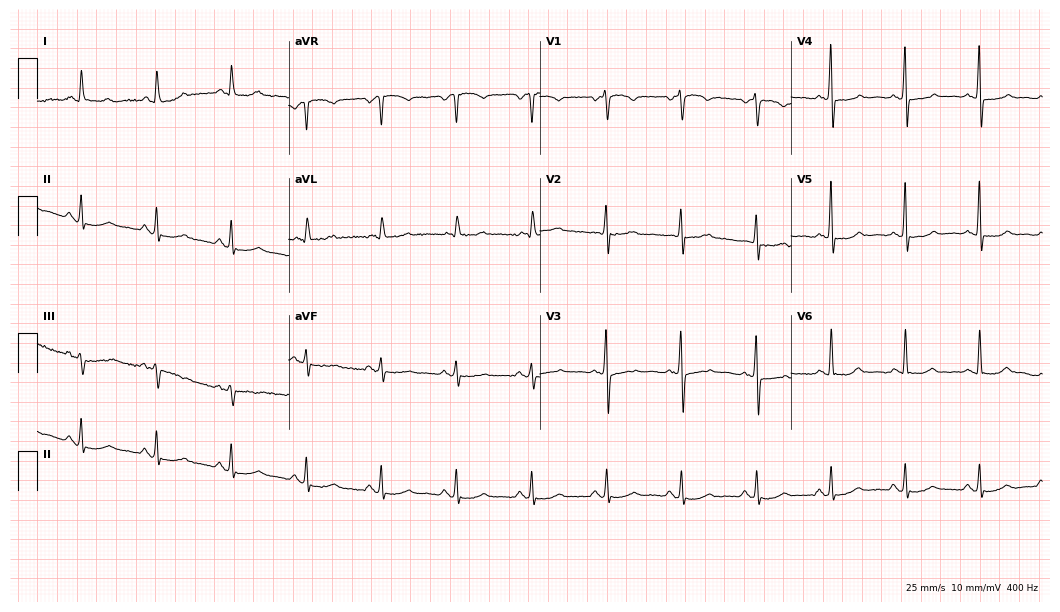
Resting 12-lead electrocardiogram. Patient: a 52-year-old woman. None of these six findings is recorded: first-degree AV block, right bundle branch block, left bundle branch block, sinus bradycardia, atrial fibrillation, sinus tachycardia.